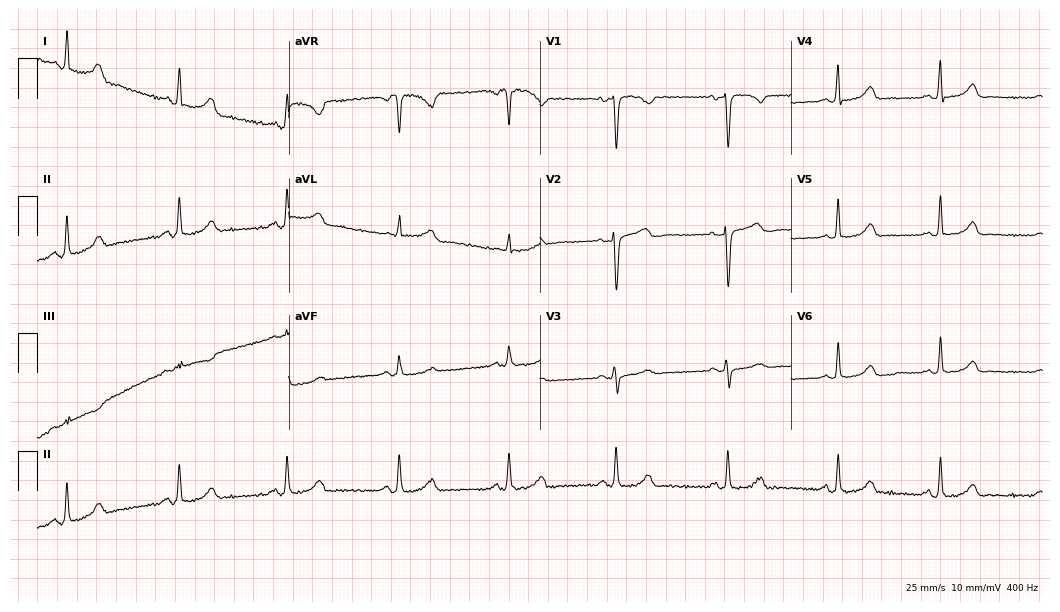
12-lead ECG (10.2-second recording at 400 Hz) from a female, 26 years old. Labelled as a normal ECG.